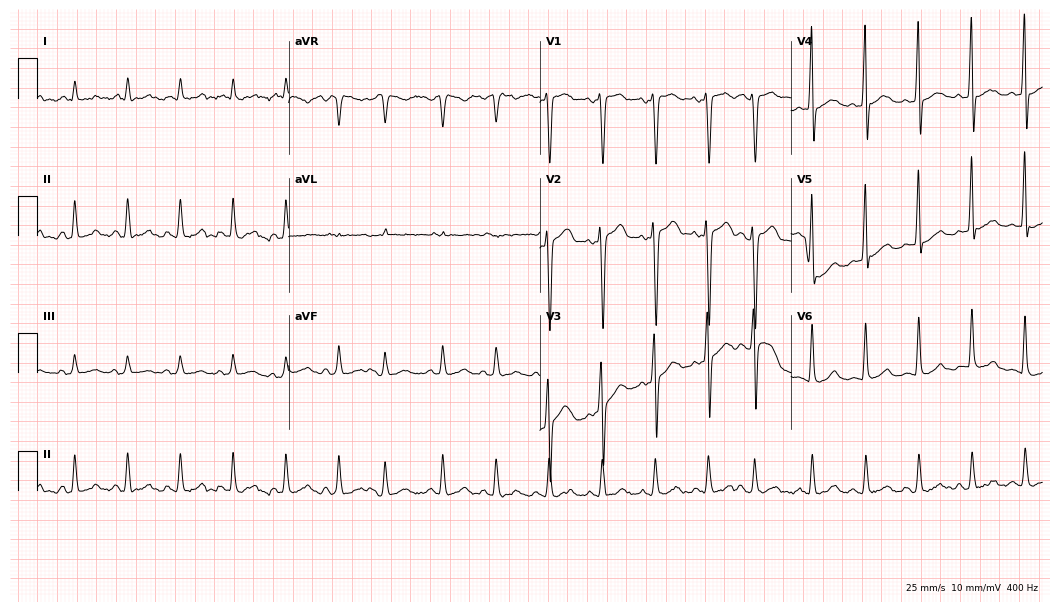
12-lead ECG (10.2-second recording at 400 Hz) from a male patient, 46 years old. Findings include sinus tachycardia (a sinus rate of 100 beats per minute or more).